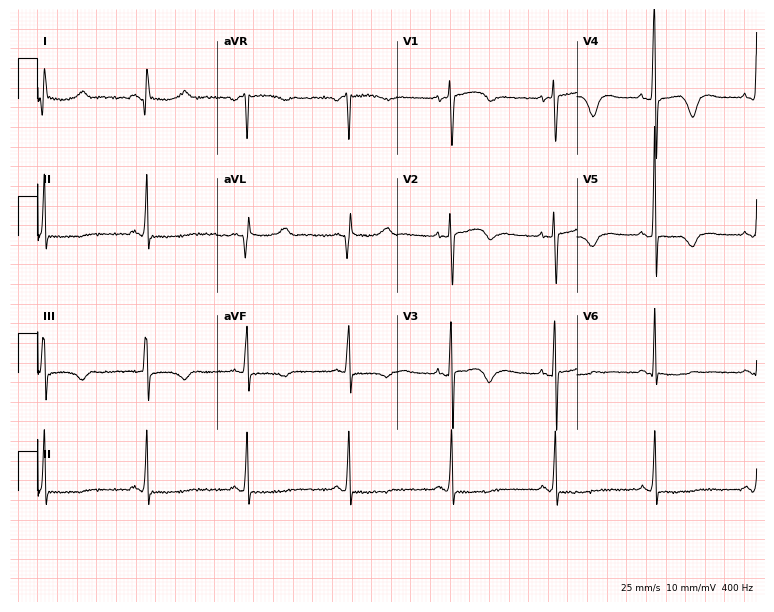
Electrocardiogram (7.3-second recording at 400 Hz), a female patient, 66 years old. Of the six screened findings (first-degree AV block, right bundle branch block, left bundle branch block, sinus bradycardia, atrial fibrillation, sinus tachycardia), none is recorded.